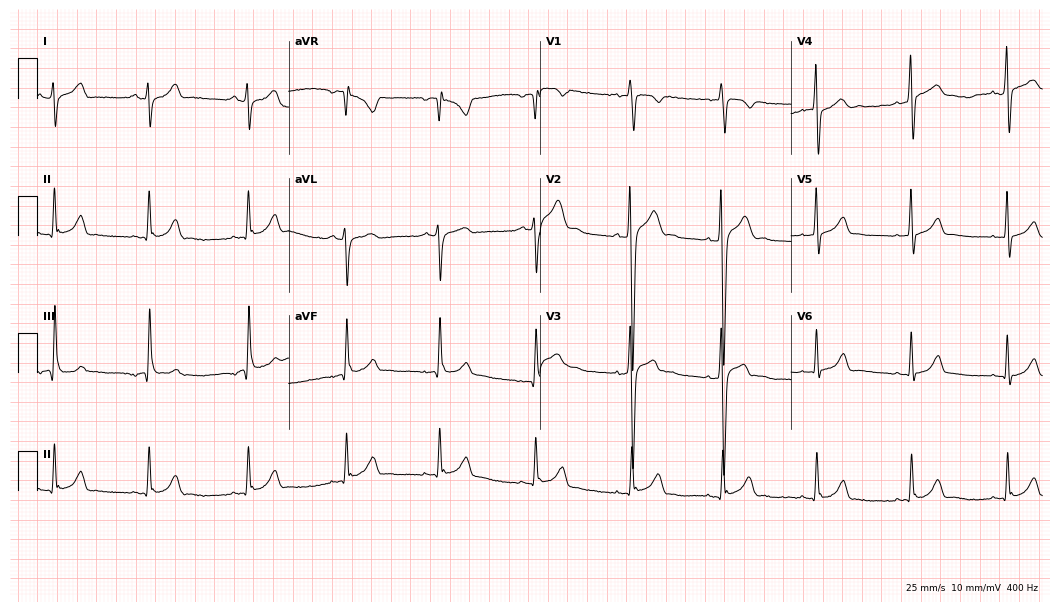
Standard 12-lead ECG recorded from a male, 18 years old (10.2-second recording at 400 Hz). Read as a normal ECG.